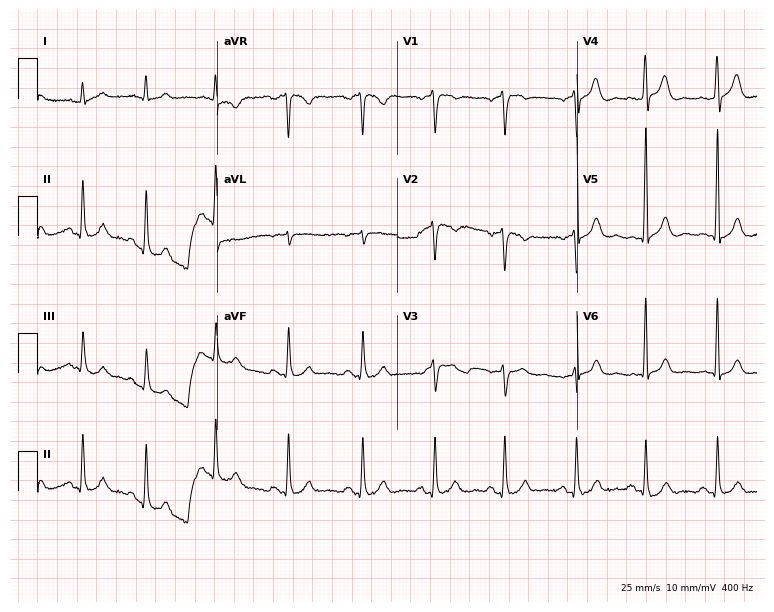
Electrocardiogram (7.3-second recording at 400 Hz), a 71-year-old male patient. Overall reading on record: normal ECG.